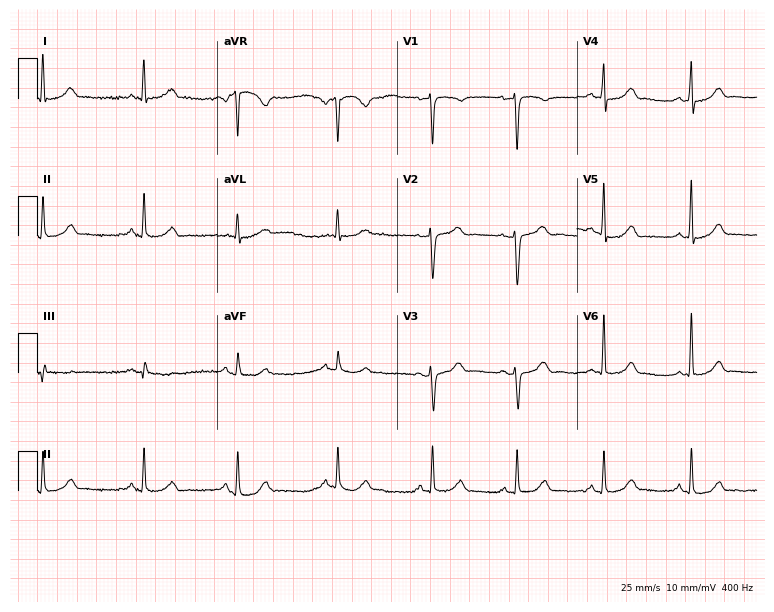
Standard 12-lead ECG recorded from a female patient, 45 years old (7.3-second recording at 400 Hz). None of these six findings is recorded: first-degree AV block, right bundle branch block, left bundle branch block, sinus bradycardia, atrial fibrillation, sinus tachycardia.